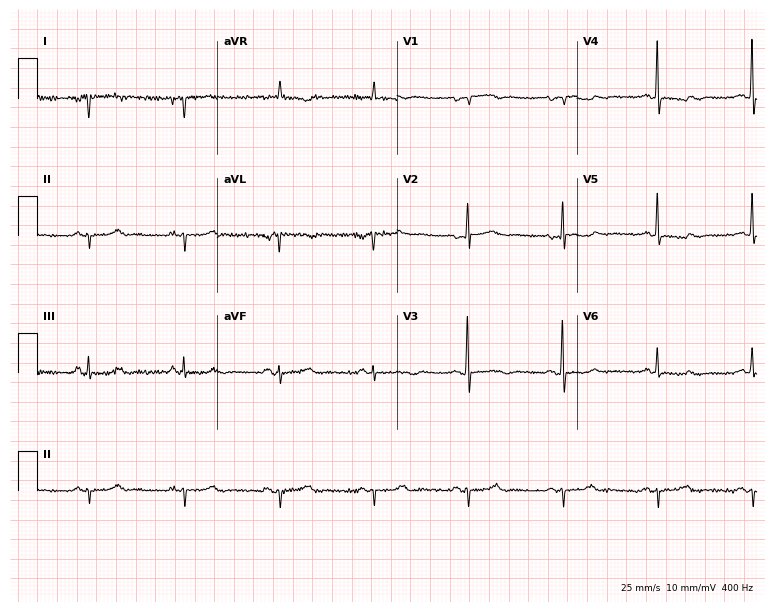
Standard 12-lead ECG recorded from an 81-year-old female patient (7.3-second recording at 400 Hz). None of these six findings is recorded: first-degree AV block, right bundle branch block, left bundle branch block, sinus bradycardia, atrial fibrillation, sinus tachycardia.